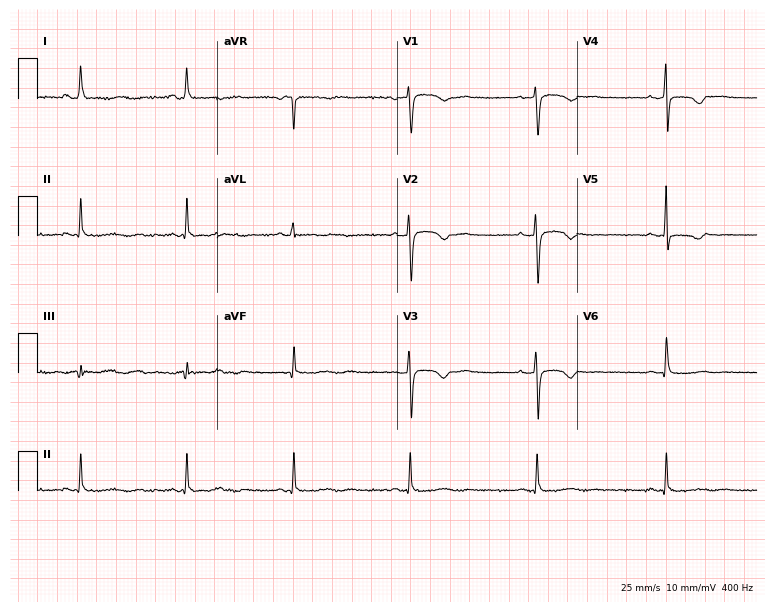
Resting 12-lead electrocardiogram. Patient: a woman, 55 years old. None of these six findings is recorded: first-degree AV block, right bundle branch block, left bundle branch block, sinus bradycardia, atrial fibrillation, sinus tachycardia. Other findings, if any, are not listed.